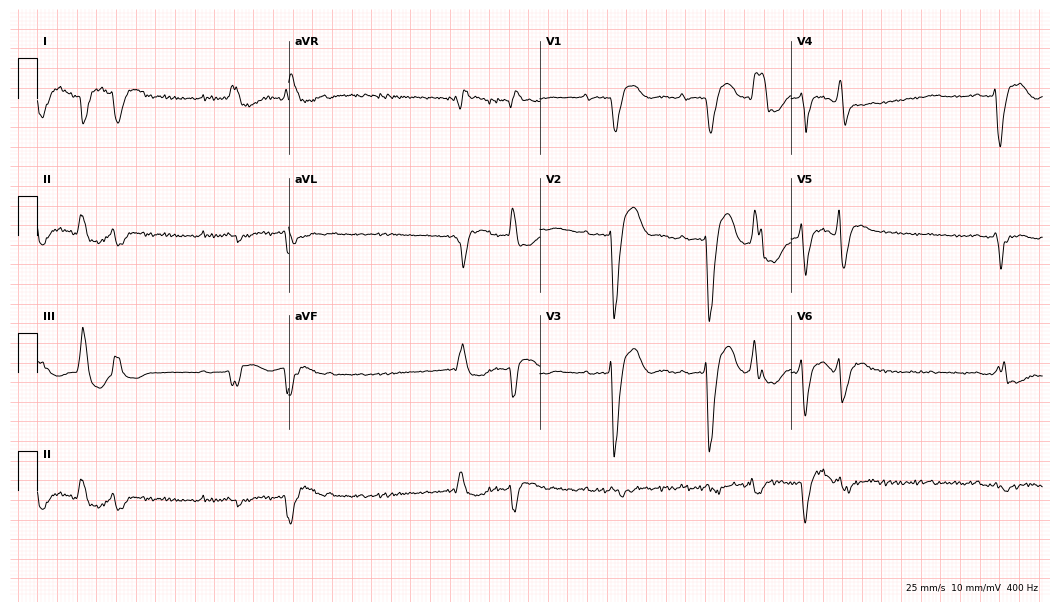
Standard 12-lead ECG recorded from a 70-year-old female. None of these six findings is recorded: first-degree AV block, right bundle branch block (RBBB), left bundle branch block (LBBB), sinus bradycardia, atrial fibrillation (AF), sinus tachycardia. Findings outside these six are not listed.